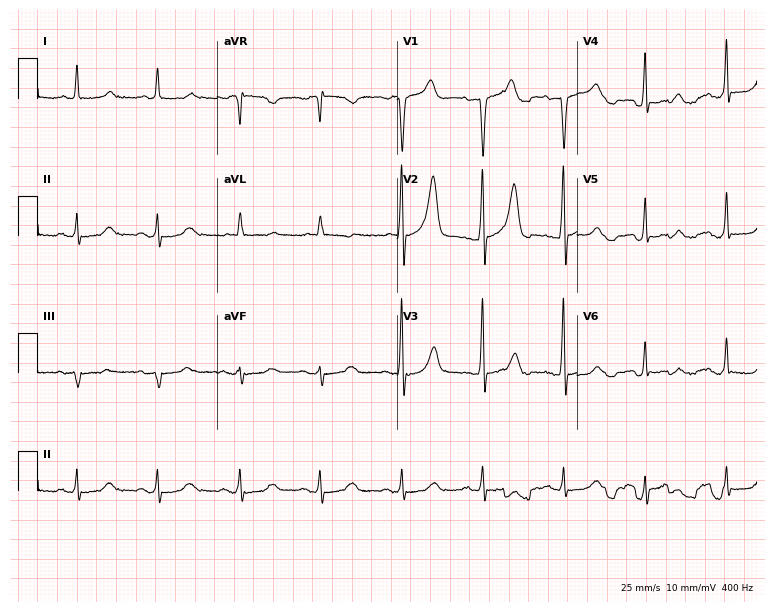
Standard 12-lead ECG recorded from a man, 51 years old (7.3-second recording at 400 Hz). None of these six findings is recorded: first-degree AV block, right bundle branch block, left bundle branch block, sinus bradycardia, atrial fibrillation, sinus tachycardia.